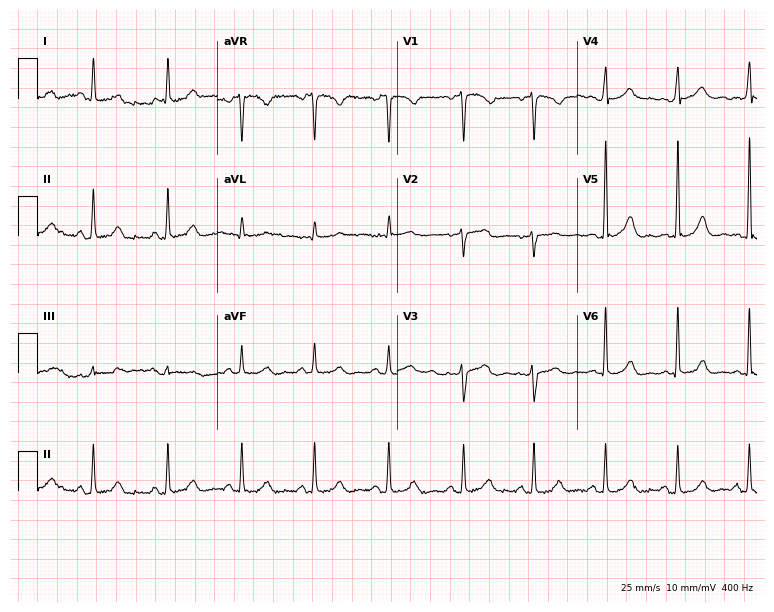
12-lead ECG from a 45-year-old female patient. Labelled as a normal ECG.